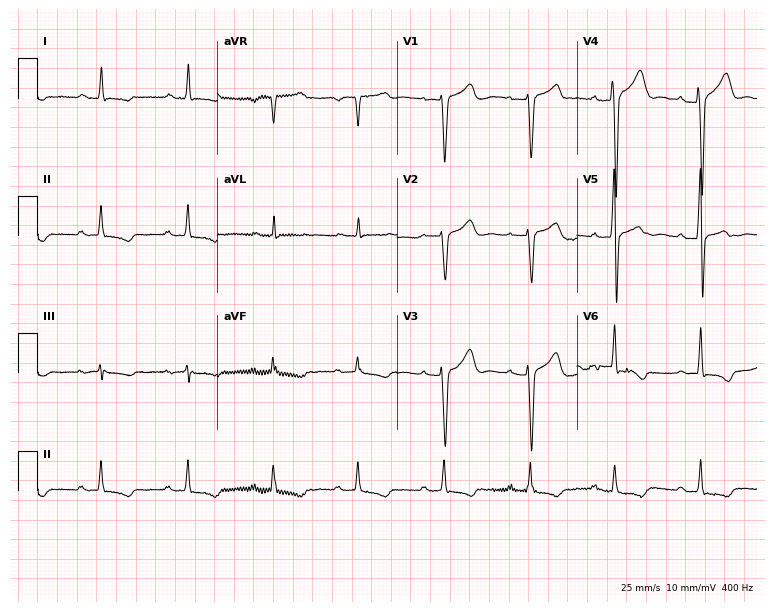
Standard 12-lead ECG recorded from a male patient, 63 years old (7.3-second recording at 400 Hz). None of these six findings is recorded: first-degree AV block, right bundle branch block, left bundle branch block, sinus bradycardia, atrial fibrillation, sinus tachycardia.